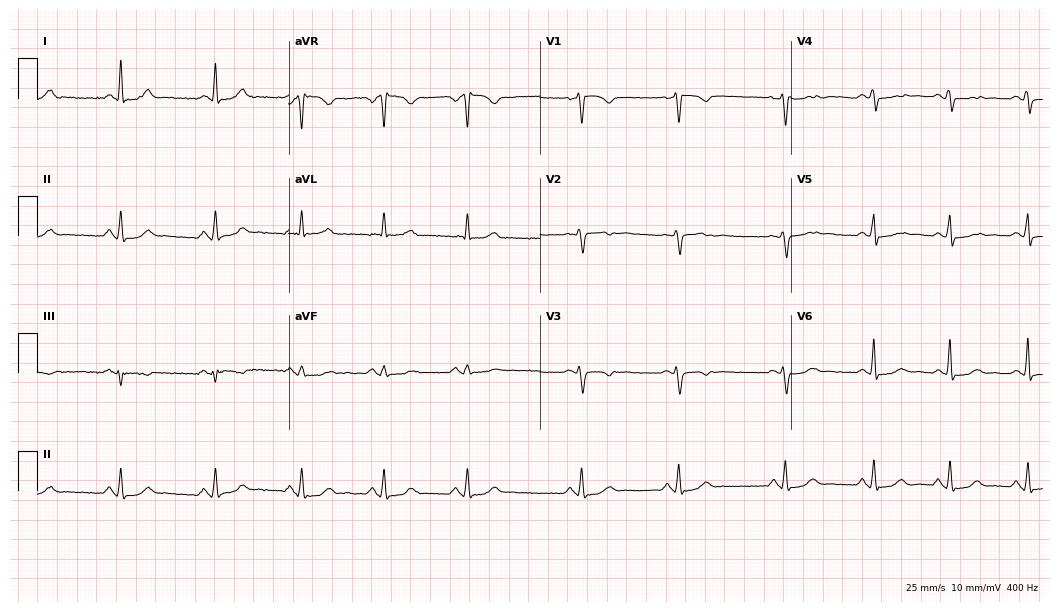
12-lead ECG from a woman, 45 years old. No first-degree AV block, right bundle branch block, left bundle branch block, sinus bradycardia, atrial fibrillation or sinus tachycardia recorded for this tracing. Only these six findings were labelled.